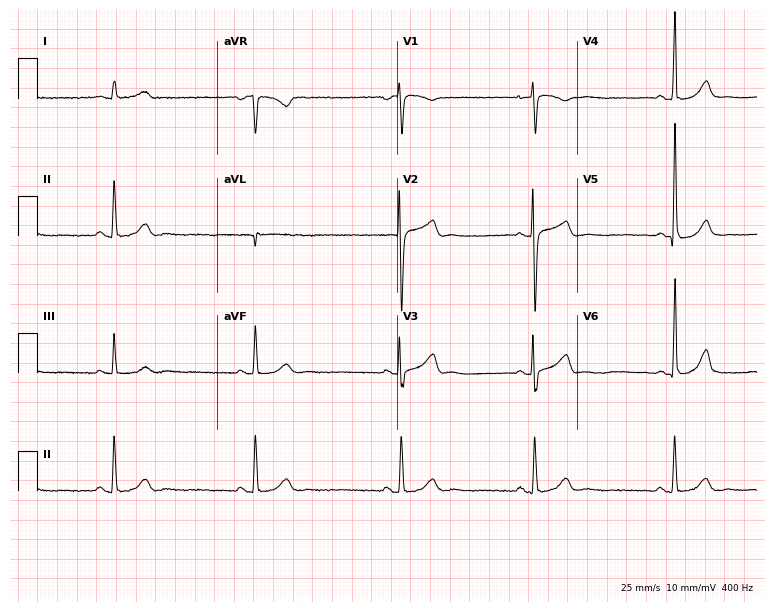
12-lead ECG from a woman, 35 years old (7.3-second recording at 400 Hz). No first-degree AV block, right bundle branch block, left bundle branch block, sinus bradycardia, atrial fibrillation or sinus tachycardia recorded for this tracing.